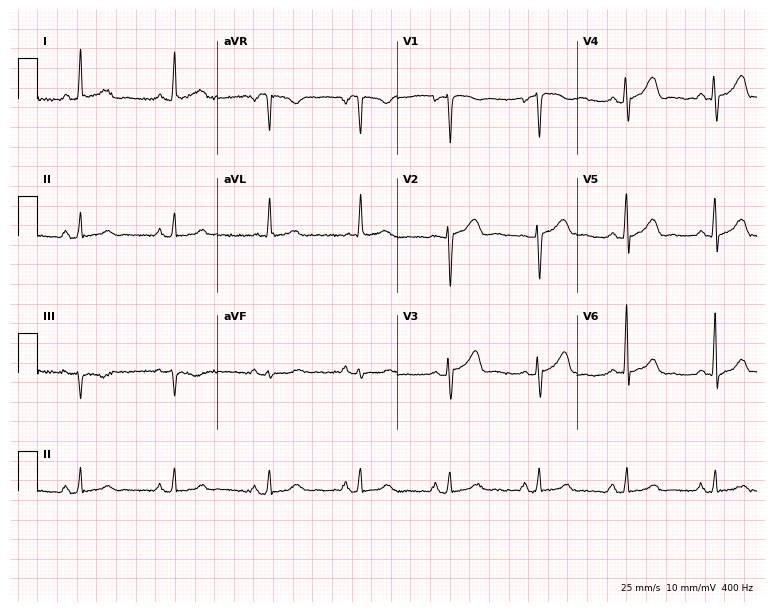
12-lead ECG from a female, 54 years old (7.3-second recording at 400 Hz). No first-degree AV block, right bundle branch block, left bundle branch block, sinus bradycardia, atrial fibrillation or sinus tachycardia recorded for this tracing.